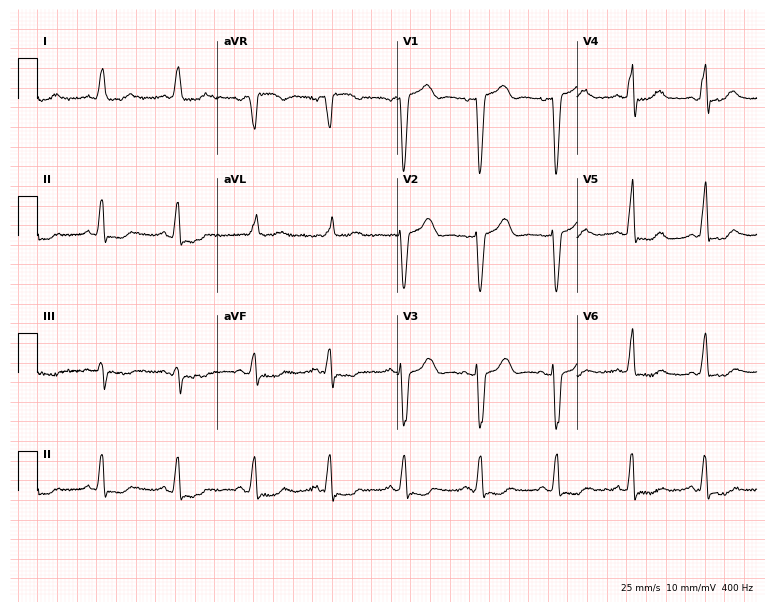
Electrocardiogram, an 87-year-old female. Interpretation includes left bundle branch block (LBBB).